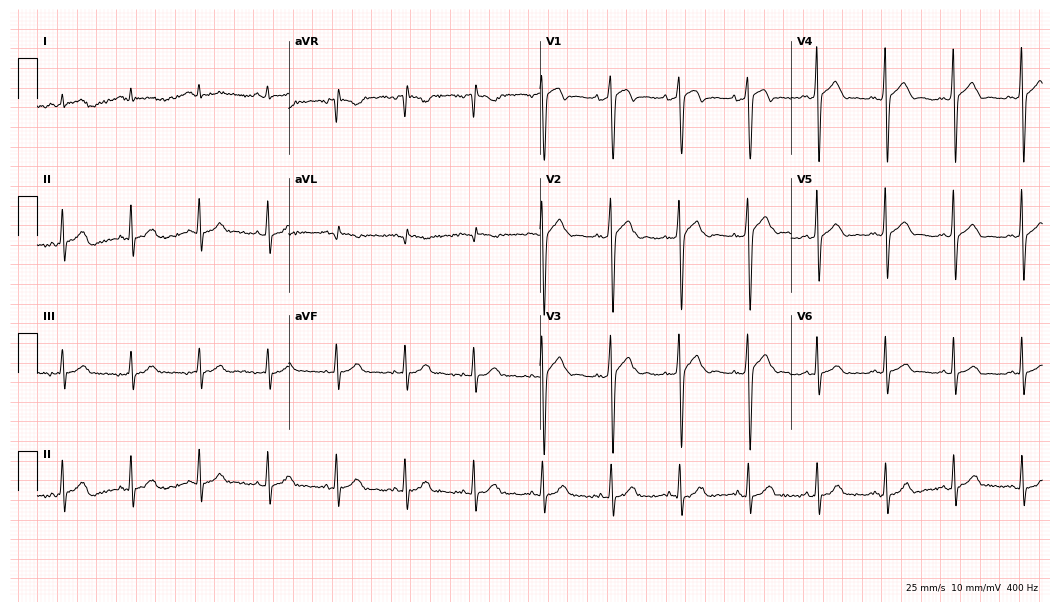
ECG — a male patient, 75 years old. Labelled as a normal ECG.